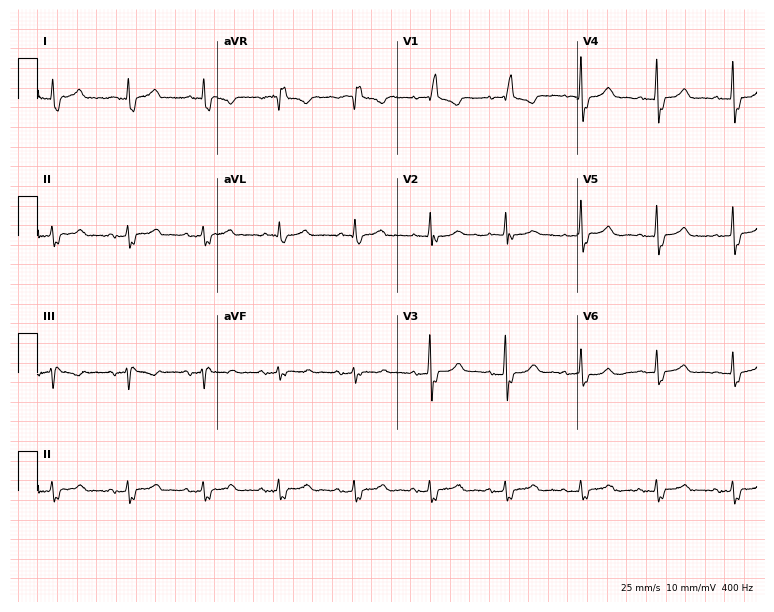
ECG (7.3-second recording at 400 Hz) — a male patient, 68 years old. Findings include right bundle branch block.